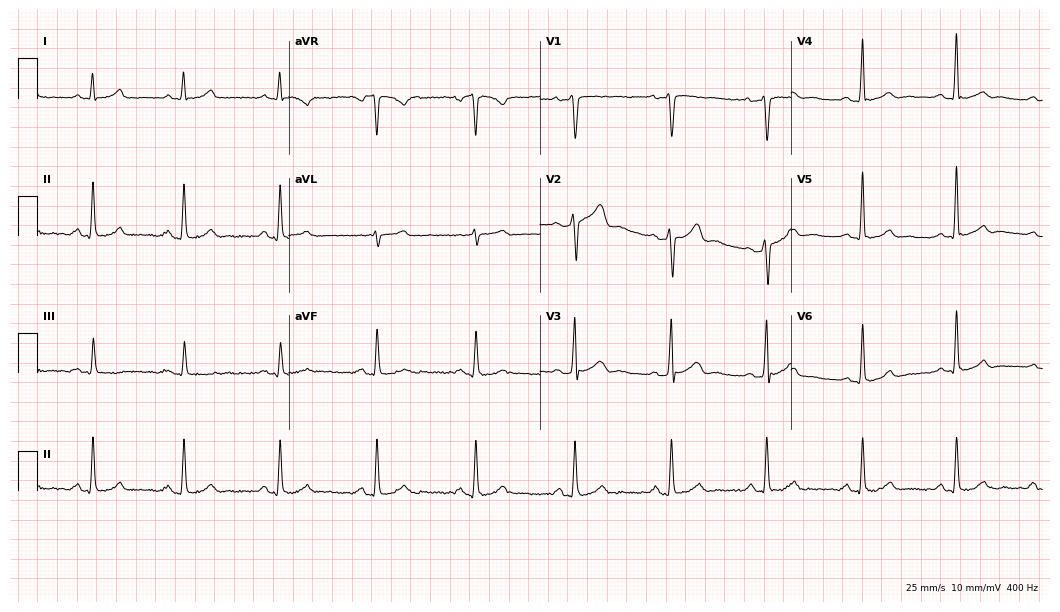
Standard 12-lead ECG recorded from a 51-year-old male (10.2-second recording at 400 Hz). Read as a normal ECG.